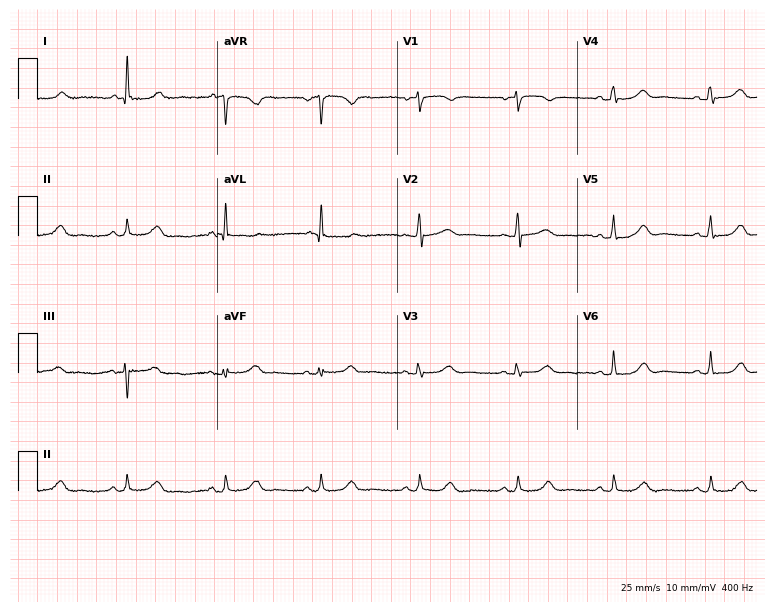
Electrocardiogram, a female patient, 70 years old. Overall reading on record: normal ECG.